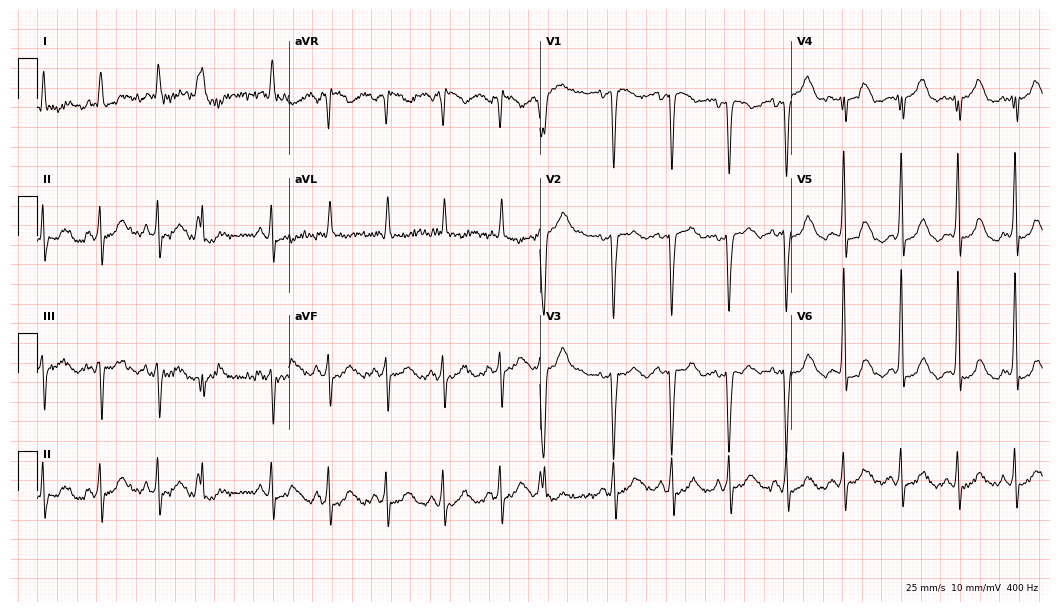
12-lead ECG from a female patient, 68 years old. Findings include sinus tachycardia (a sinus rate of 100 beats per minute or more).